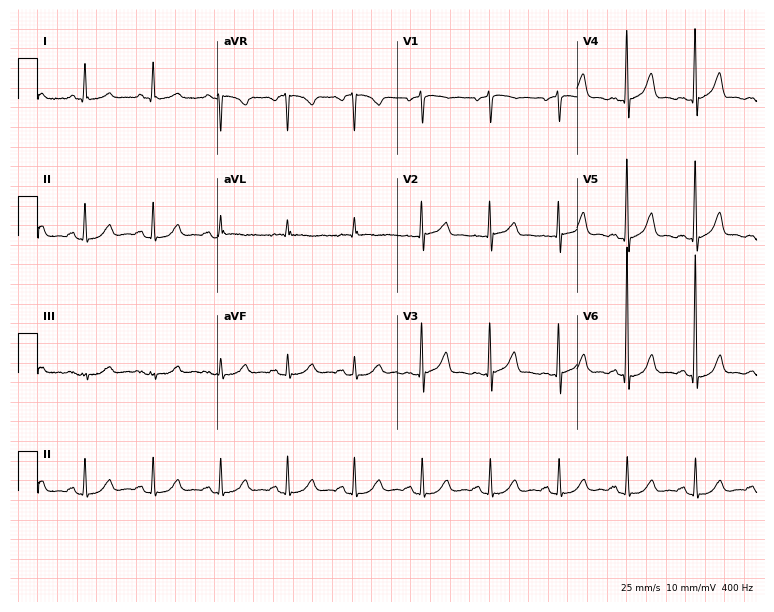
12-lead ECG from a man, 82 years old. Screened for six findings — first-degree AV block, right bundle branch block, left bundle branch block, sinus bradycardia, atrial fibrillation, sinus tachycardia — none is recorded. Other findings, if any, are not listed.